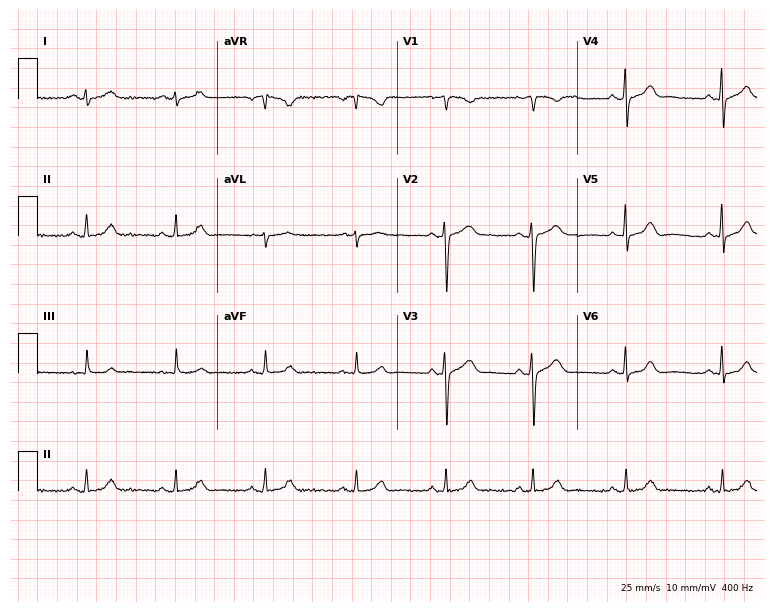
Electrocardiogram (7.3-second recording at 400 Hz), a female, 33 years old. Overall reading on record: normal ECG.